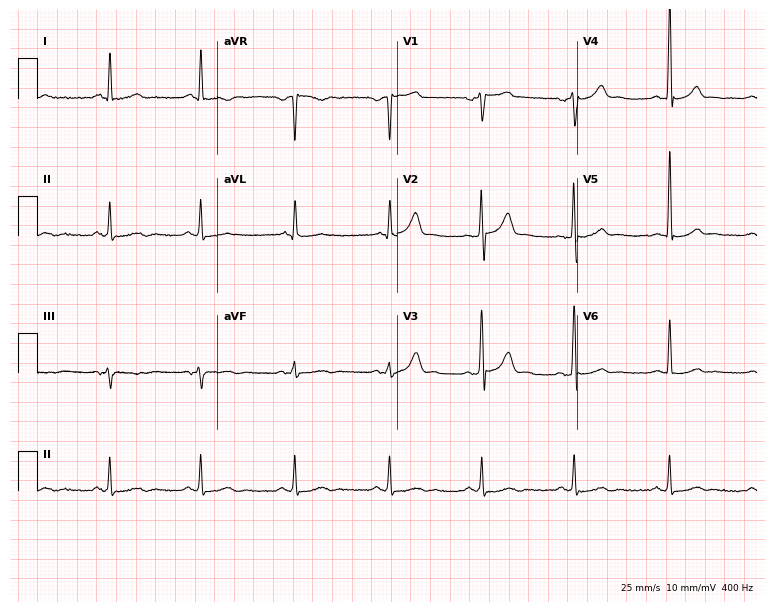
12-lead ECG from a 62-year-old man. No first-degree AV block, right bundle branch block (RBBB), left bundle branch block (LBBB), sinus bradycardia, atrial fibrillation (AF) or sinus tachycardia recorded for this tracing.